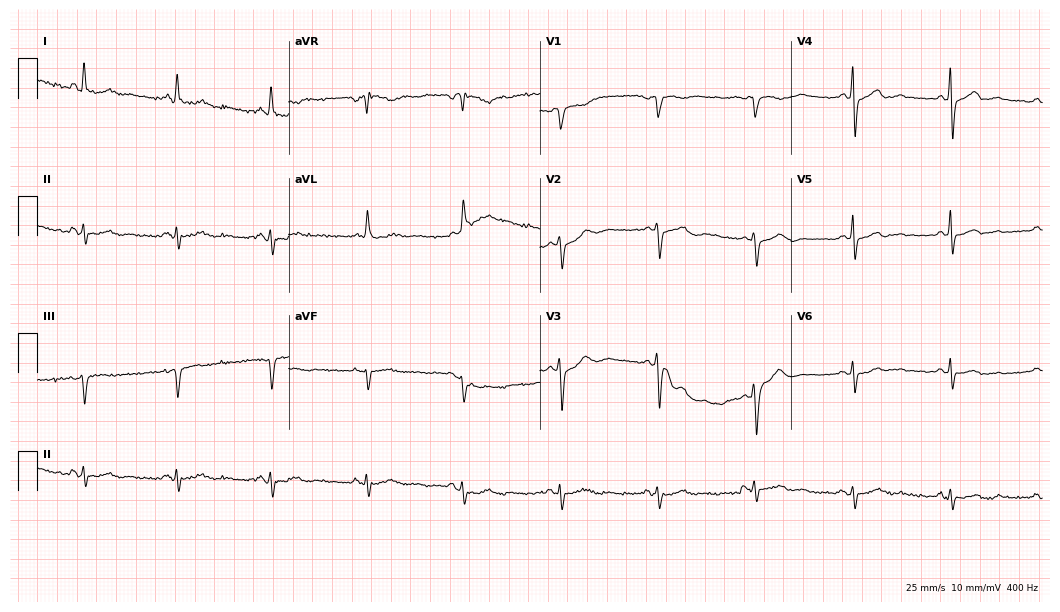
12-lead ECG from a 79-year-old male. No first-degree AV block, right bundle branch block, left bundle branch block, sinus bradycardia, atrial fibrillation or sinus tachycardia recorded for this tracing. Only these six findings were labelled.